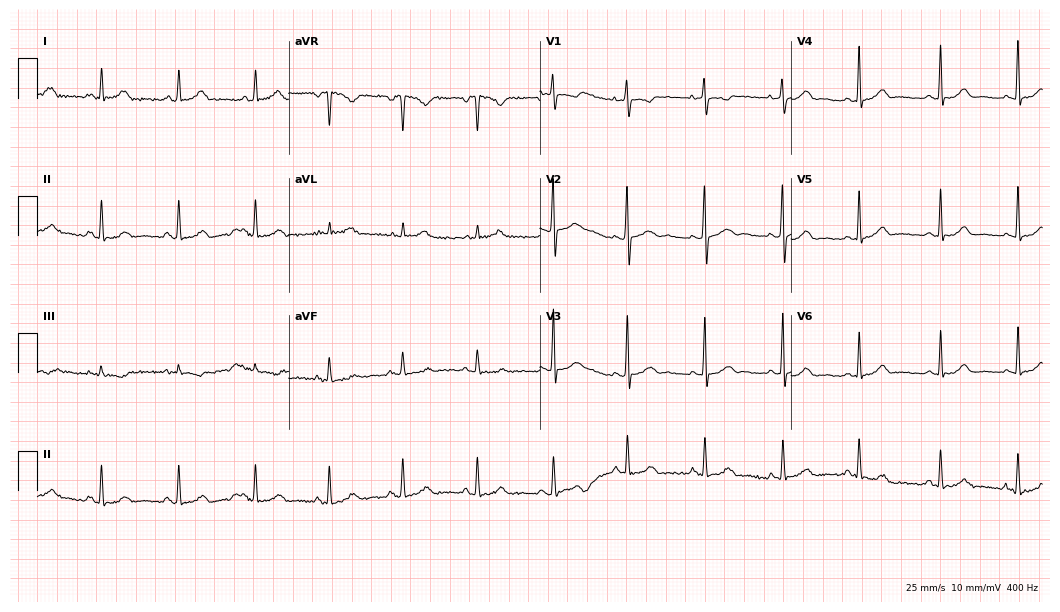
12-lead ECG from a 27-year-old female patient. Labelled as a normal ECG.